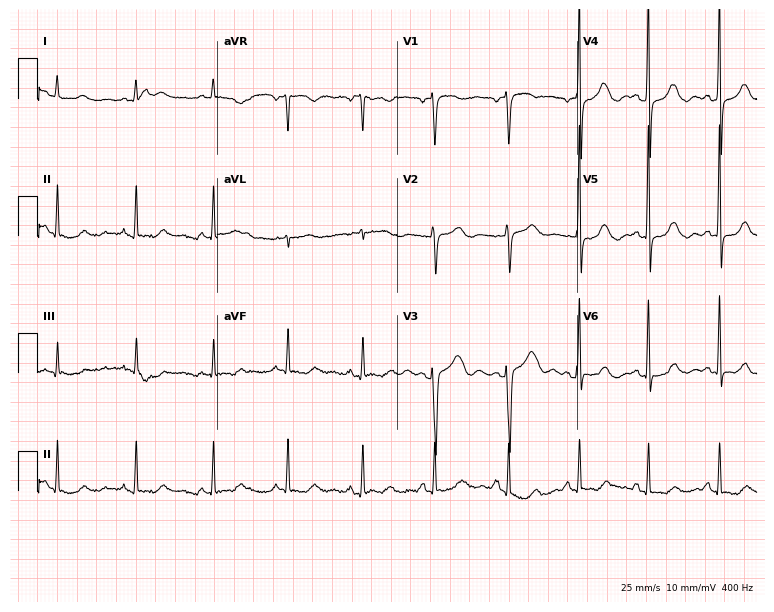
12-lead ECG (7.3-second recording at 400 Hz) from a female, 40 years old. Labelled as a normal ECG.